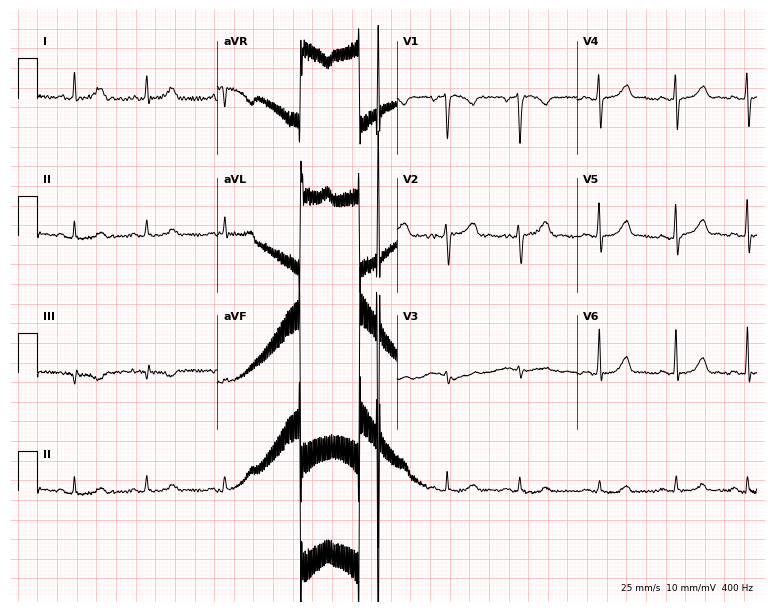
ECG — a 36-year-old woman. Labelled as a normal ECG.